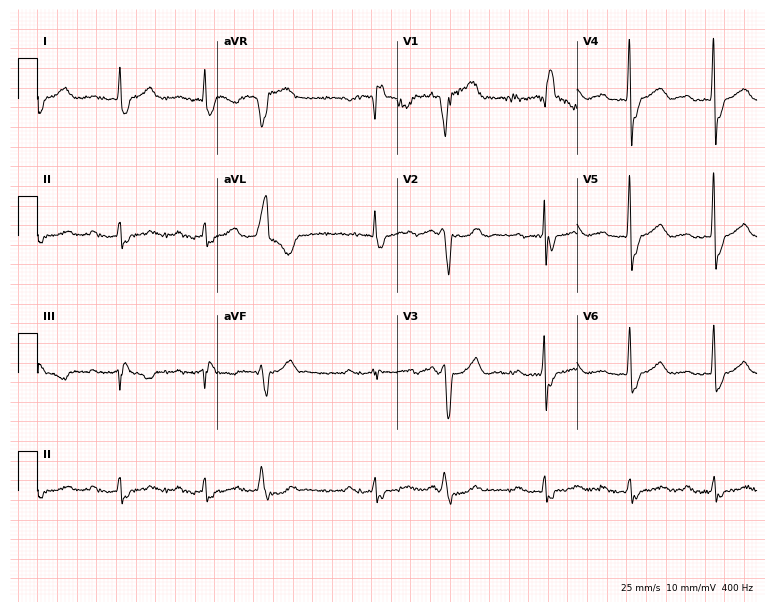
12-lead ECG (7.3-second recording at 400 Hz) from a 75-year-old man. Findings include first-degree AV block, right bundle branch block.